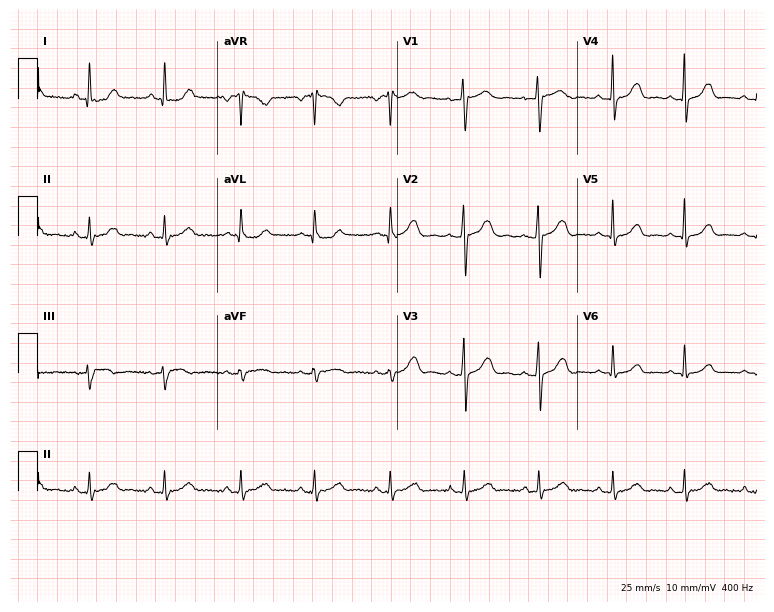
Electrocardiogram (7.3-second recording at 400 Hz), a 41-year-old female. Overall reading on record: normal ECG.